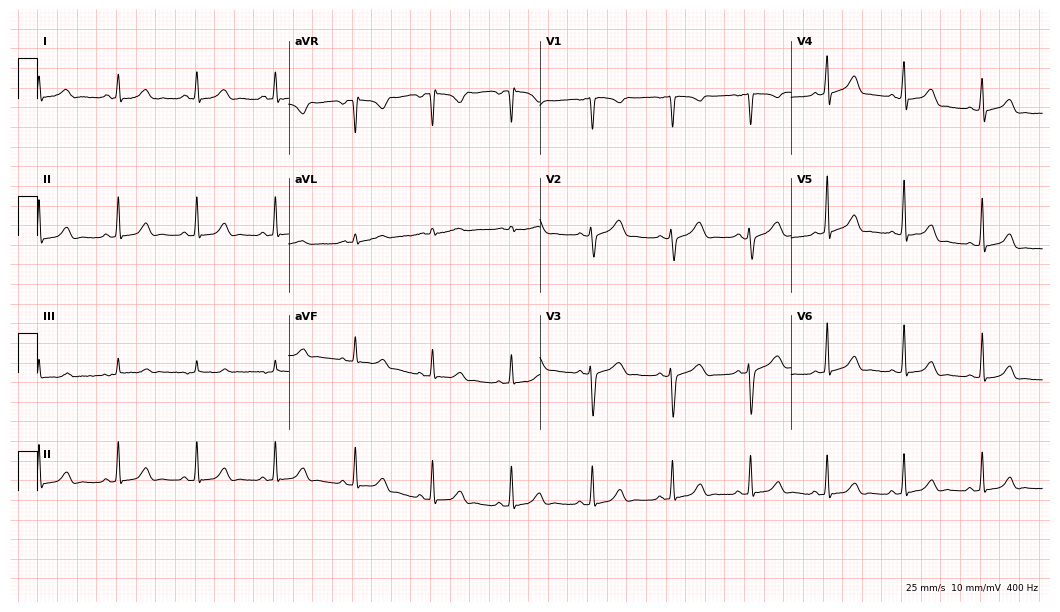
12-lead ECG from a 17-year-old female patient. Recorded interpretation: within normal limits.